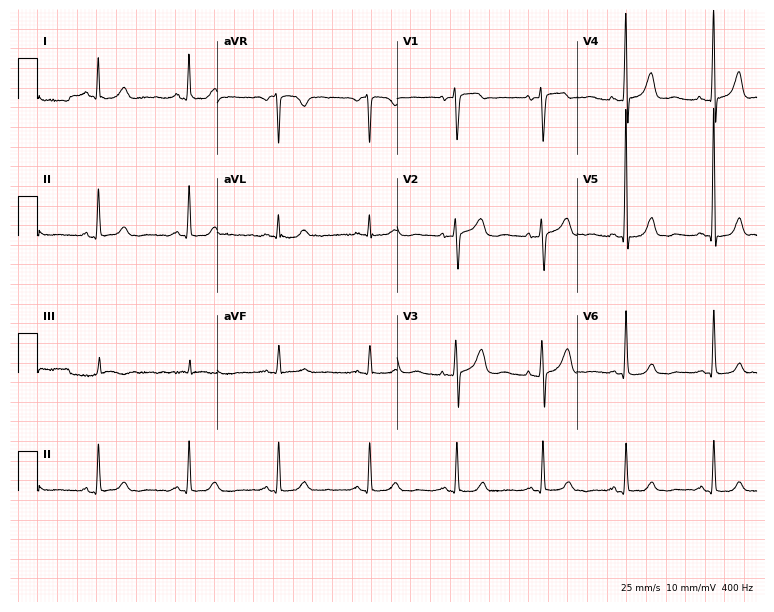
Resting 12-lead electrocardiogram. Patient: a female, 64 years old. Read as a normal ECG.